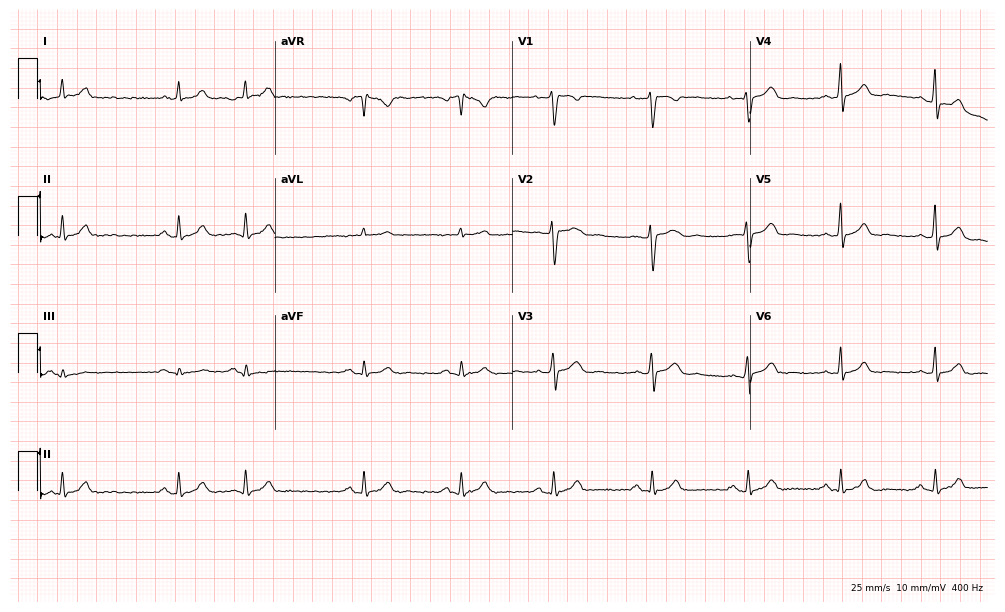
Resting 12-lead electrocardiogram. Patient: a female, 29 years old. None of these six findings is recorded: first-degree AV block, right bundle branch block (RBBB), left bundle branch block (LBBB), sinus bradycardia, atrial fibrillation (AF), sinus tachycardia.